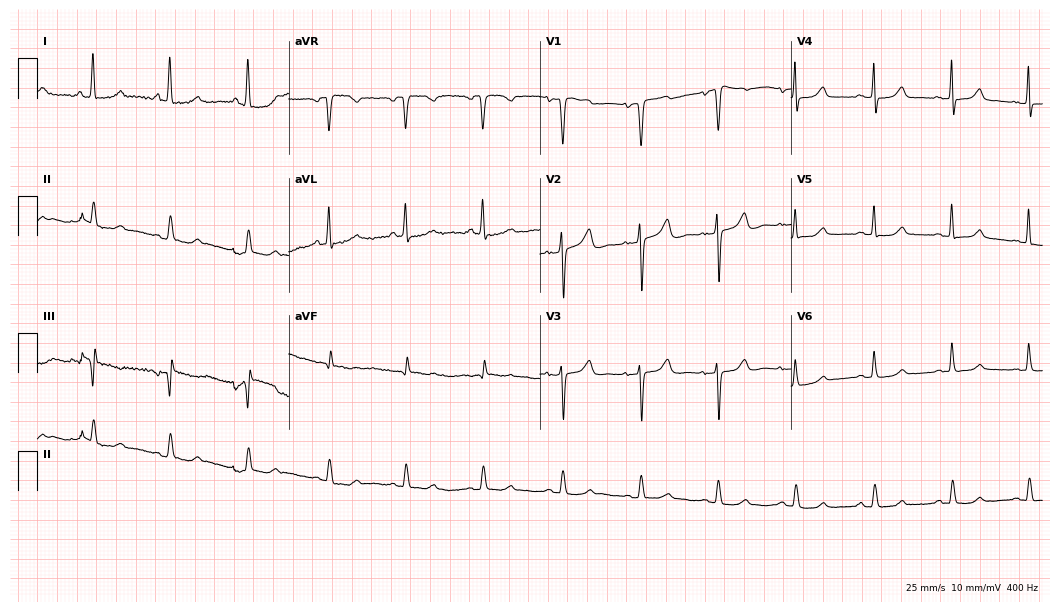
12-lead ECG from a female, 79 years old. No first-degree AV block, right bundle branch block, left bundle branch block, sinus bradycardia, atrial fibrillation or sinus tachycardia recorded for this tracing. Only these six findings were labelled.